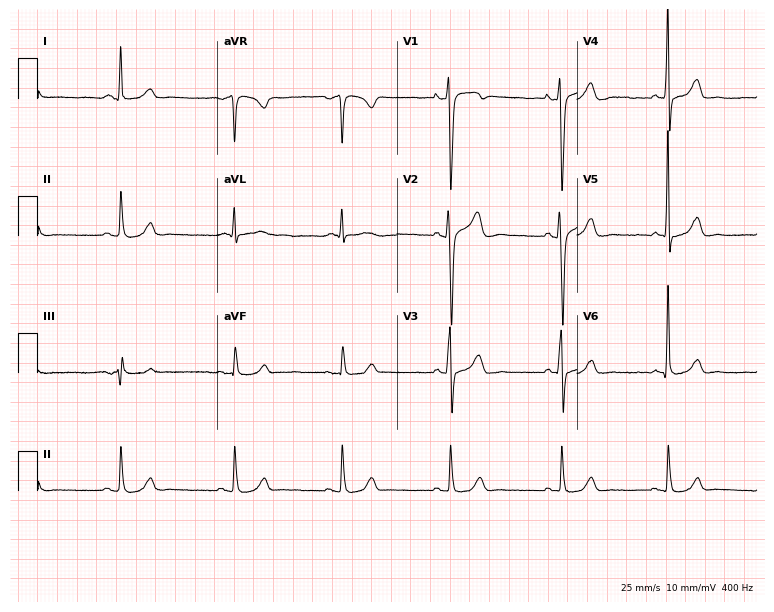
12-lead ECG from a male patient, 42 years old (7.3-second recording at 400 Hz). Recorded interpretation: within normal limits.